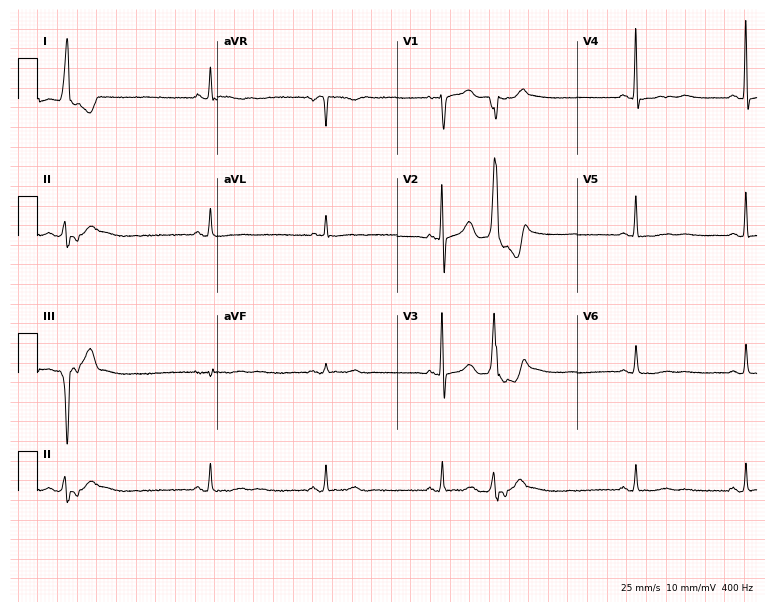
ECG (7.3-second recording at 400 Hz) — an 84-year-old female. Screened for six findings — first-degree AV block, right bundle branch block, left bundle branch block, sinus bradycardia, atrial fibrillation, sinus tachycardia — none is recorded.